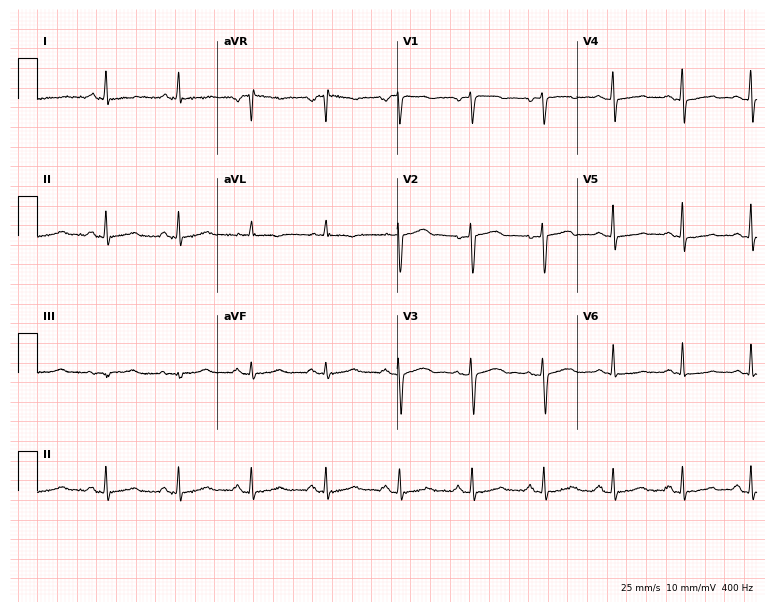
ECG — a female, 52 years old. Screened for six findings — first-degree AV block, right bundle branch block, left bundle branch block, sinus bradycardia, atrial fibrillation, sinus tachycardia — none is recorded.